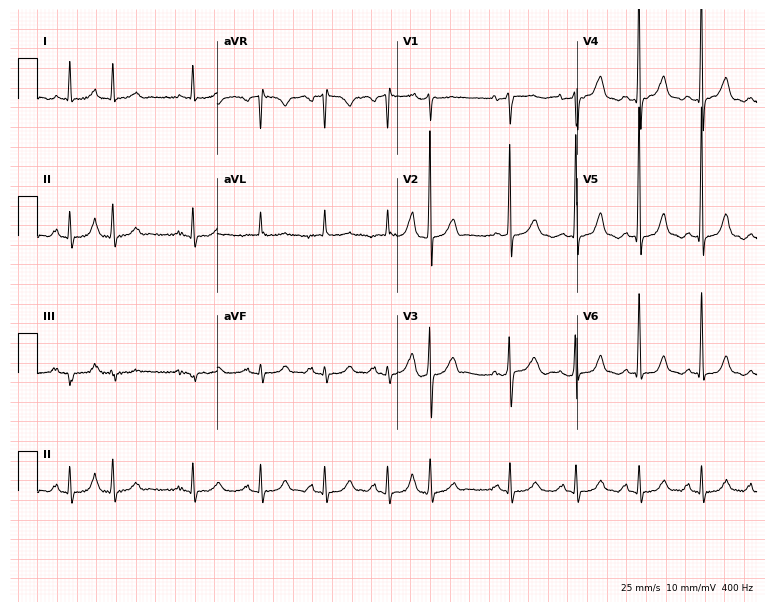
Standard 12-lead ECG recorded from a 79-year-old female patient. Read as a normal ECG.